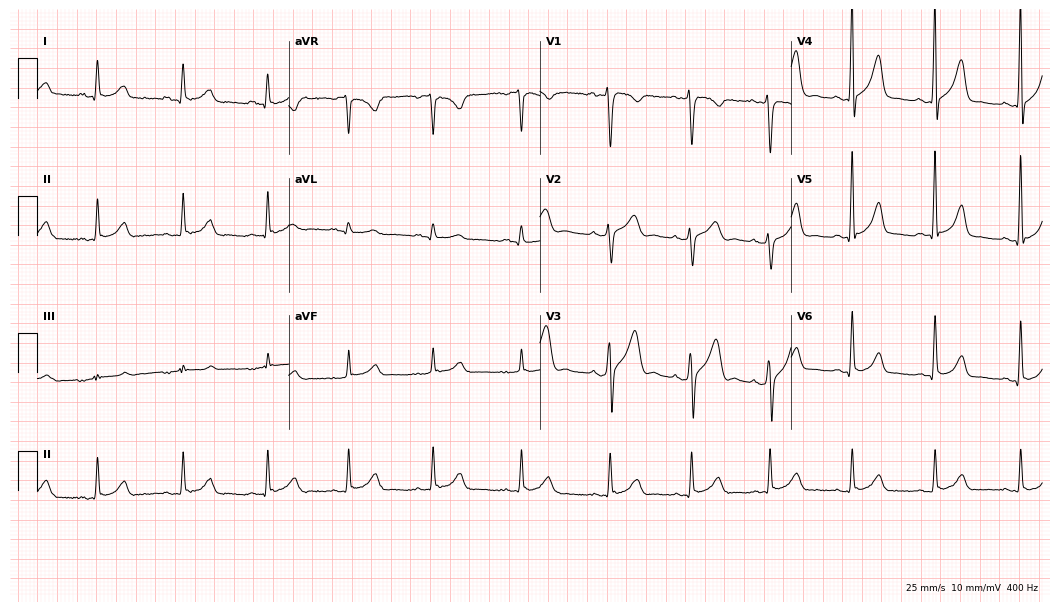
Electrocardiogram, a 27-year-old male patient. Of the six screened findings (first-degree AV block, right bundle branch block, left bundle branch block, sinus bradycardia, atrial fibrillation, sinus tachycardia), none is recorded.